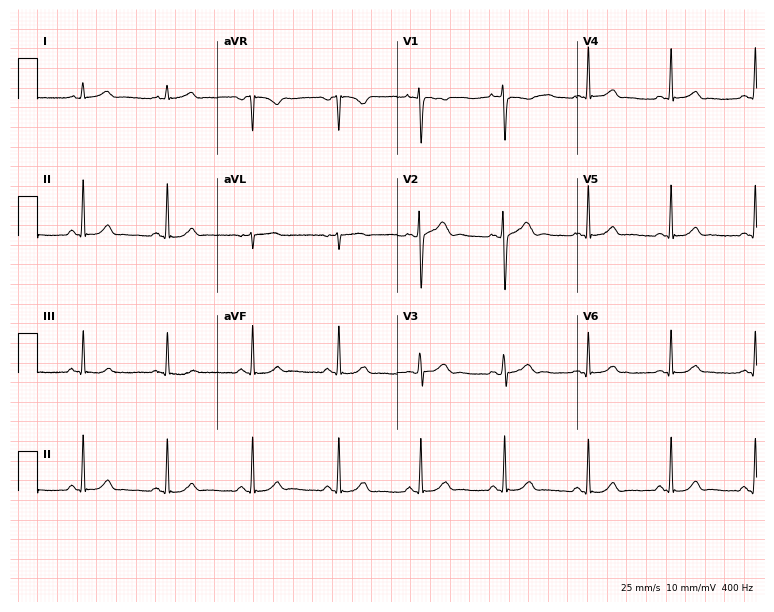
Resting 12-lead electrocardiogram. Patient: a 22-year-old female. None of these six findings is recorded: first-degree AV block, right bundle branch block, left bundle branch block, sinus bradycardia, atrial fibrillation, sinus tachycardia.